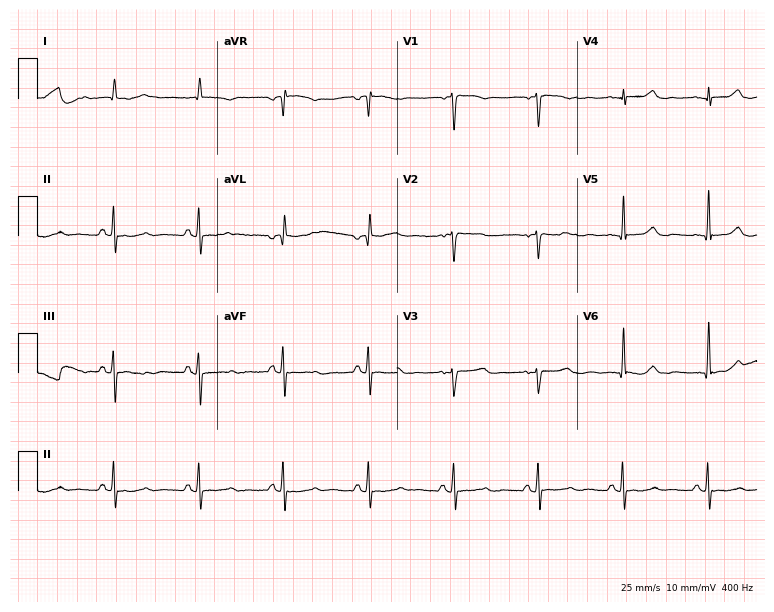
ECG — a female, 83 years old. Screened for six findings — first-degree AV block, right bundle branch block, left bundle branch block, sinus bradycardia, atrial fibrillation, sinus tachycardia — none is recorded.